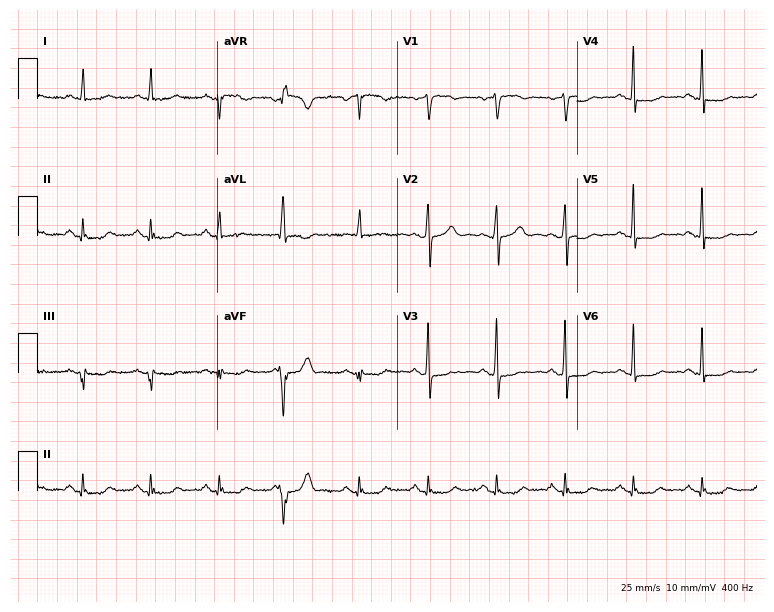
ECG (7.3-second recording at 400 Hz) — a 67-year-old female. Screened for six findings — first-degree AV block, right bundle branch block (RBBB), left bundle branch block (LBBB), sinus bradycardia, atrial fibrillation (AF), sinus tachycardia — none is recorded.